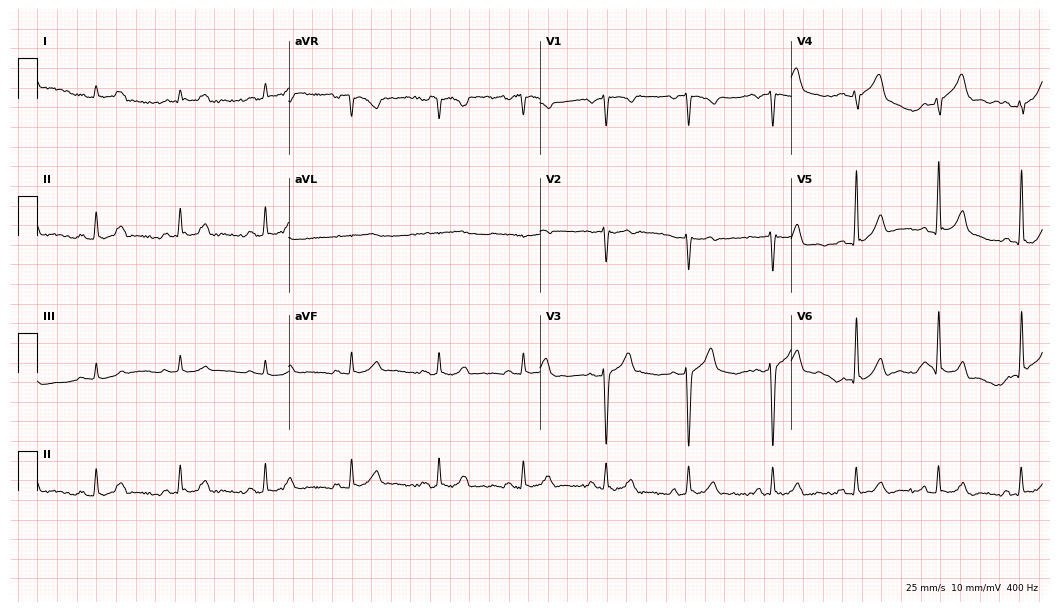
12-lead ECG from a man, 40 years old. Labelled as a normal ECG.